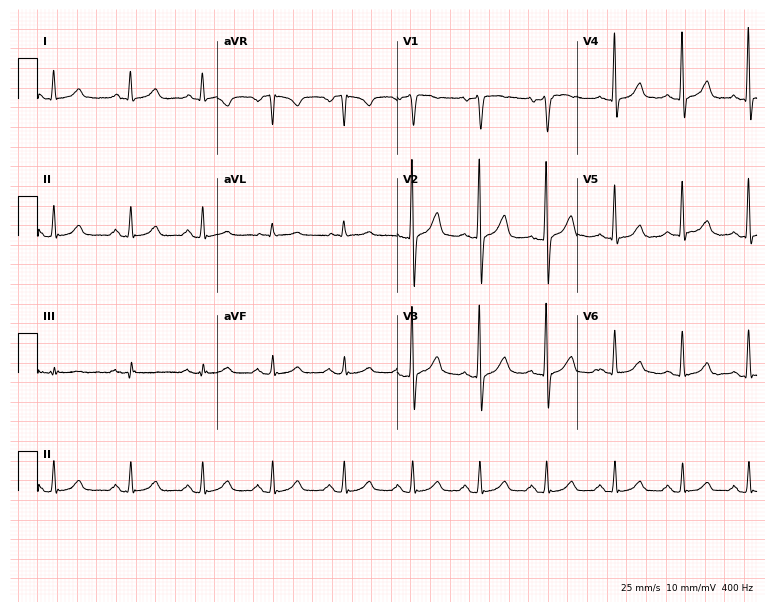
Standard 12-lead ECG recorded from a male, 53 years old (7.3-second recording at 400 Hz). Read as a normal ECG.